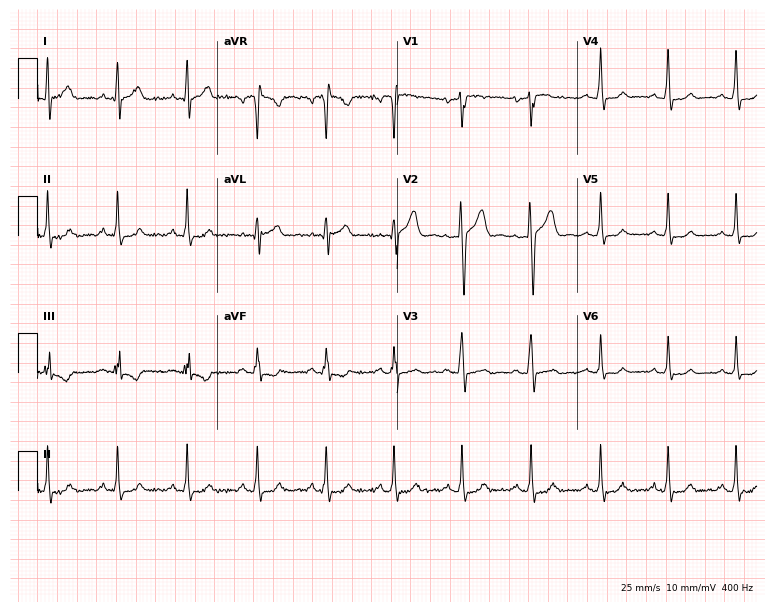
ECG (7.3-second recording at 400 Hz) — a man, 25 years old. Screened for six findings — first-degree AV block, right bundle branch block, left bundle branch block, sinus bradycardia, atrial fibrillation, sinus tachycardia — none is recorded.